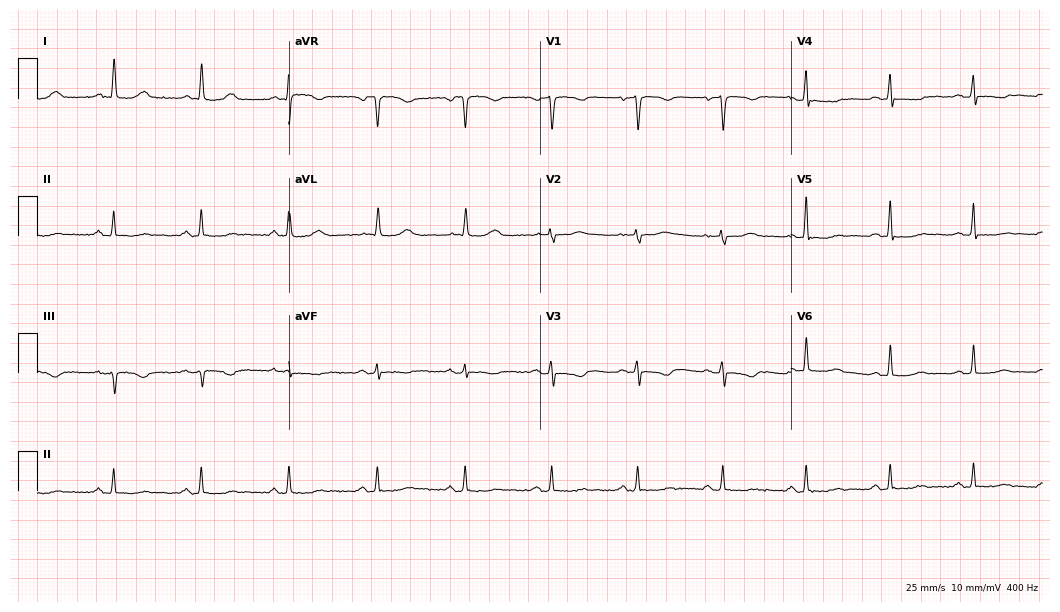
Electrocardiogram, a 68-year-old woman. Of the six screened findings (first-degree AV block, right bundle branch block, left bundle branch block, sinus bradycardia, atrial fibrillation, sinus tachycardia), none is recorded.